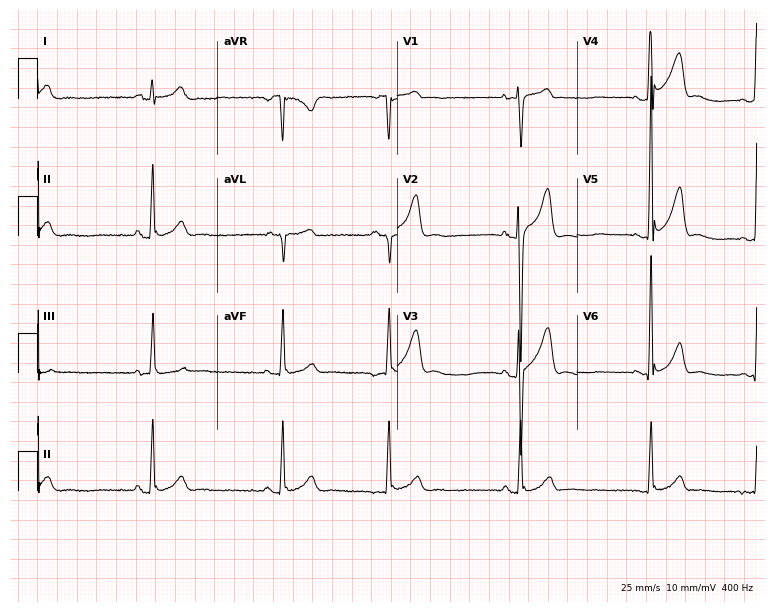
12-lead ECG (7.3-second recording at 400 Hz) from a 21-year-old male patient. Screened for six findings — first-degree AV block, right bundle branch block (RBBB), left bundle branch block (LBBB), sinus bradycardia, atrial fibrillation (AF), sinus tachycardia — none is recorded. Findings outside these six are not listed.